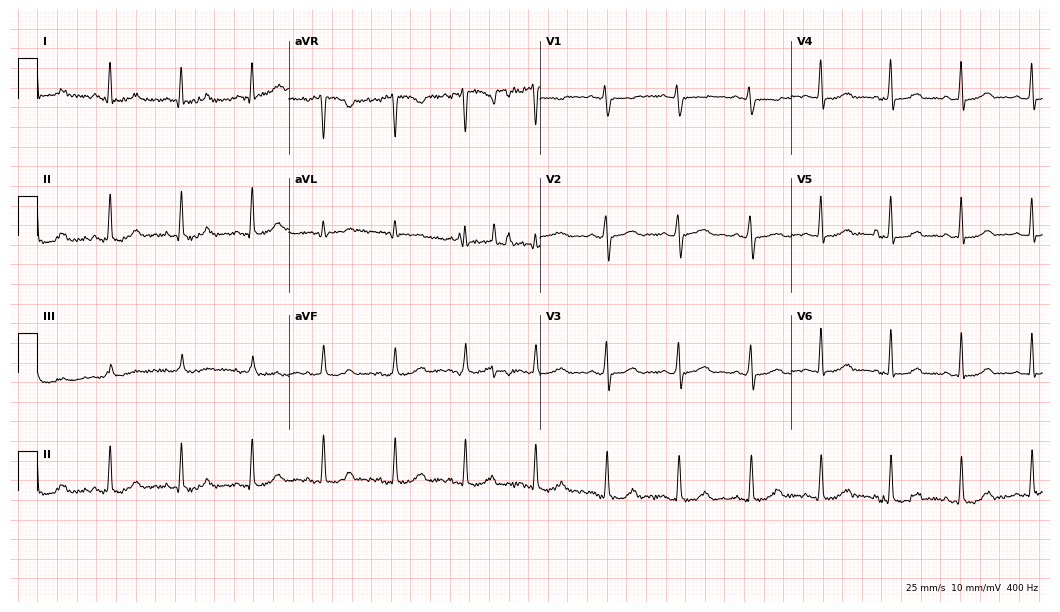
12-lead ECG from a 51-year-old female patient (10.2-second recording at 400 Hz). No first-degree AV block, right bundle branch block, left bundle branch block, sinus bradycardia, atrial fibrillation or sinus tachycardia recorded for this tracing. Other findings, if any, are not listed.